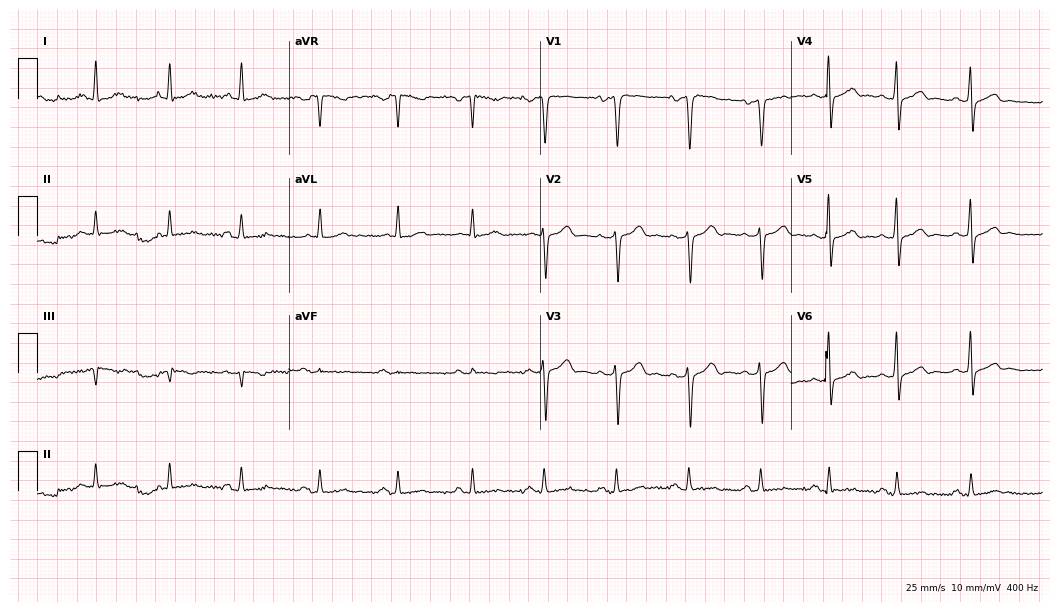
Electrocardiogram, a 39-year-old man. Of the six screened findings (first-degree AV block, right bundle branch block (RBBB), left bundle branch block (LBBB), sinus bradycardia, atrial fibrillation (AF), sinus tachycardia), none is recorded.